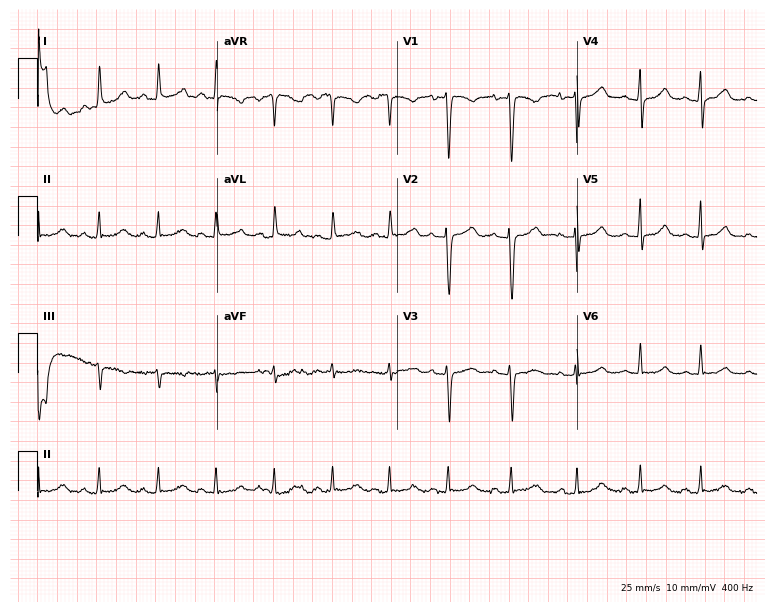
Standard 12-lead ECG recorded from a 24-year-old female. None of these six findings is recorded: first-degree AV block, right bundle branch block, left bundle branch block, sinus bradycardia, atrial fibrillation, sinus tachycardia. Findings outside these six are not listed.